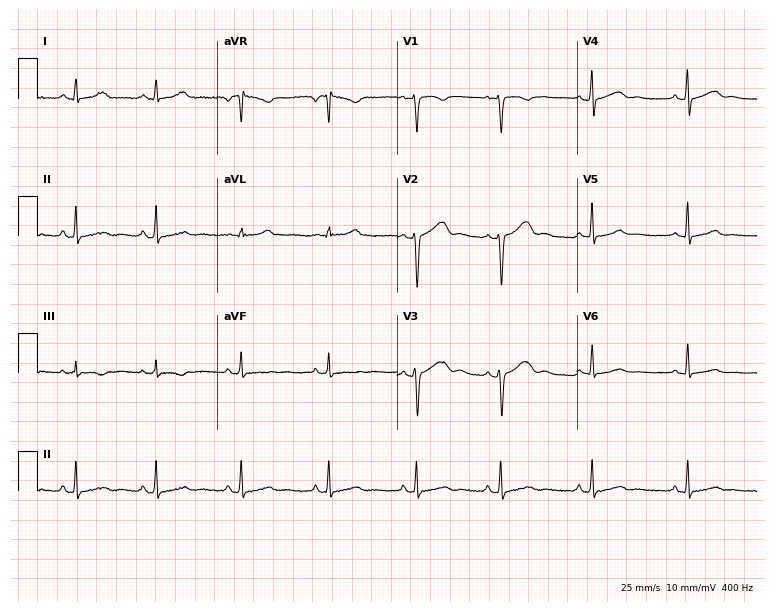
Standard 12-lead ECG recorded from a 26-year-old female patient. Read as a normal ECG.